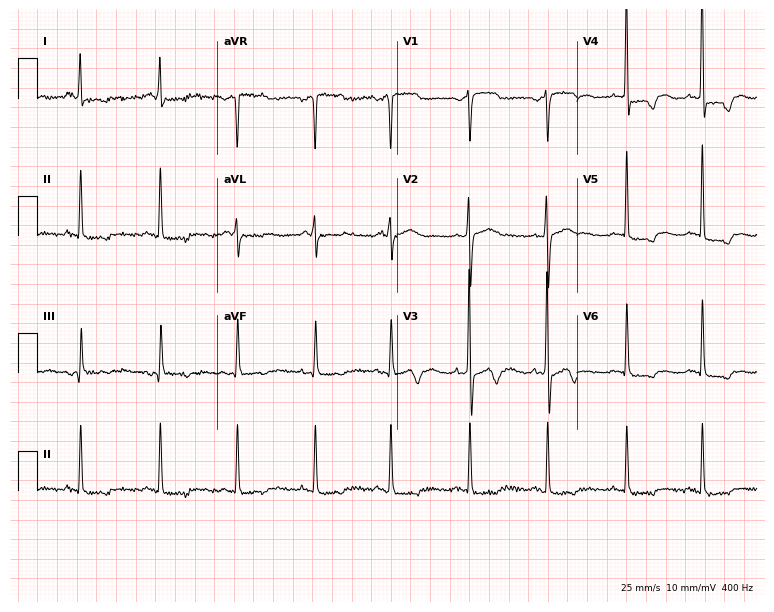
ECG (7.3-second recording at 400 Hz) — a woman, 71 years old. Screened for six findings — first-degree AV block, right bundle branch block (RBBB), left bundle branch block (LBBB), sinus bradycardia, atrial fibrillation (AF), sinus tachycardia — none is recorded.